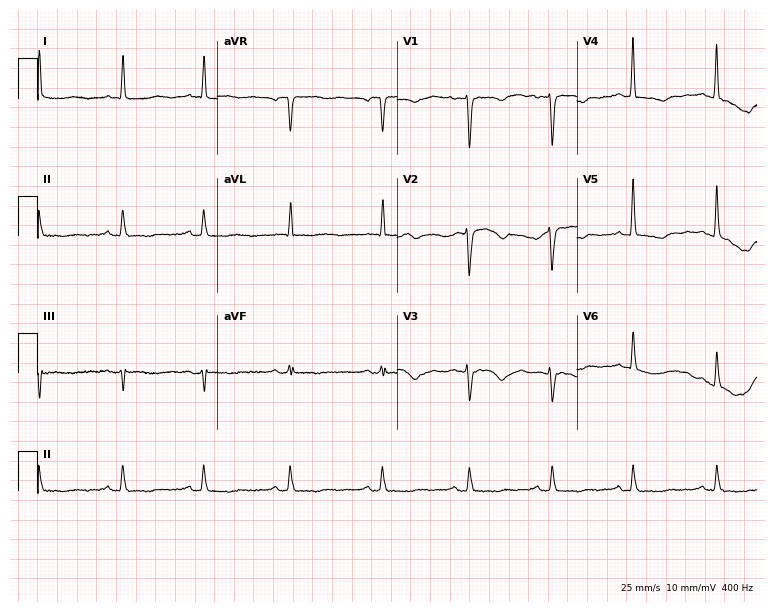
12-lead ECG from a 67-year-old female (7.3-second recording at 400 Hz). Recorded interpretation: within normal limits.